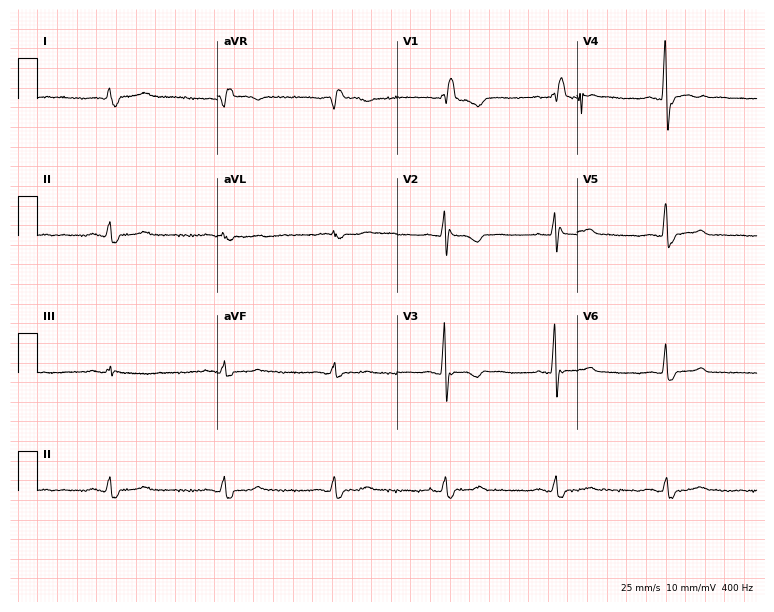
12-lead ECG from a 68-year-old female. Findings include right bundle branch block.